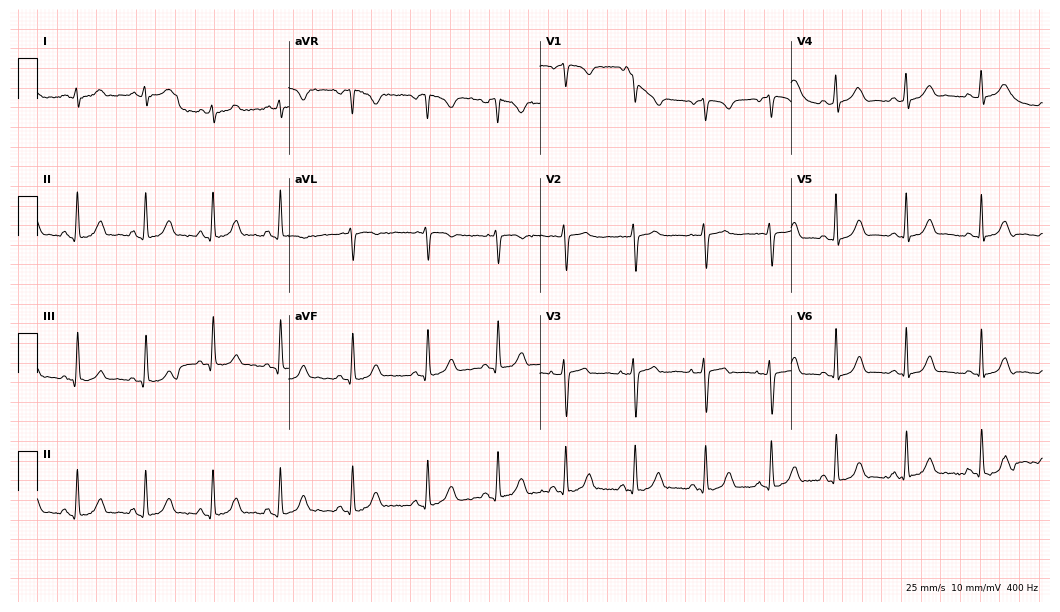
Electrocardiogram (10.2-second recording at 400 Hz), a female patient, 22 years old. Overall reading on record: normal ECG.